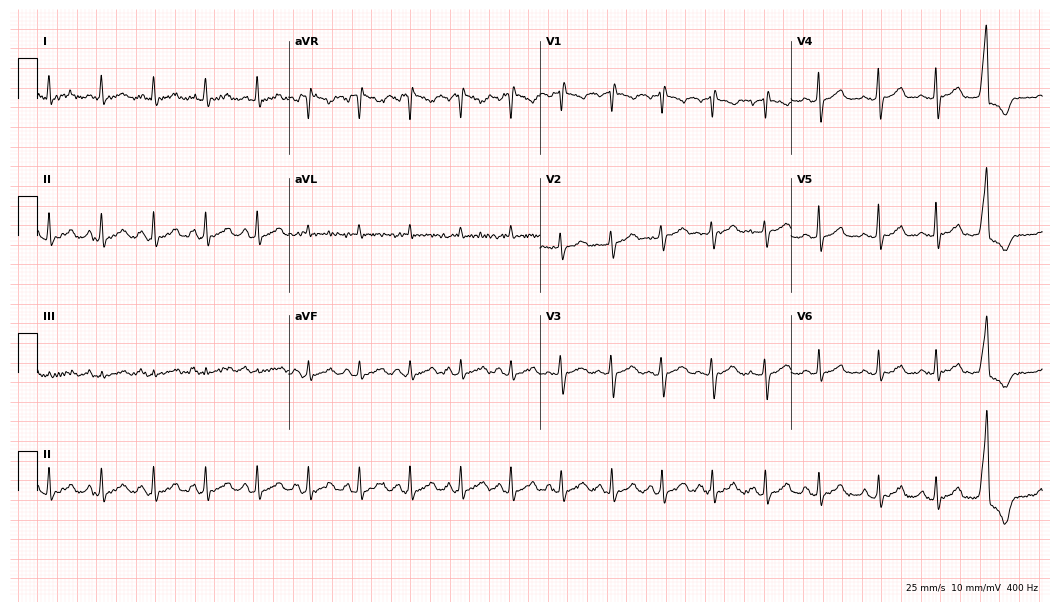
12-lead ECG from a female, 53 years old (10.2-second recording at 400 Hz). Shows sinus tachycardia (a sinus rate of 100 beats per minute or more).